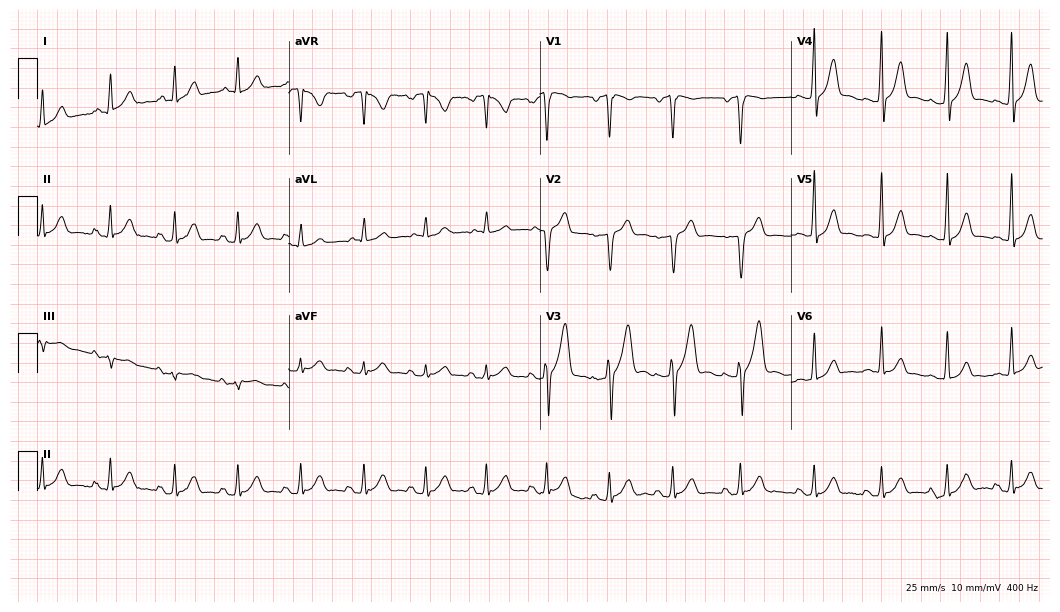
12-lead ECG from a 23-year-old male patient (10.2-second recording at 400 Hz). Recorded interpretation: within normal limits.